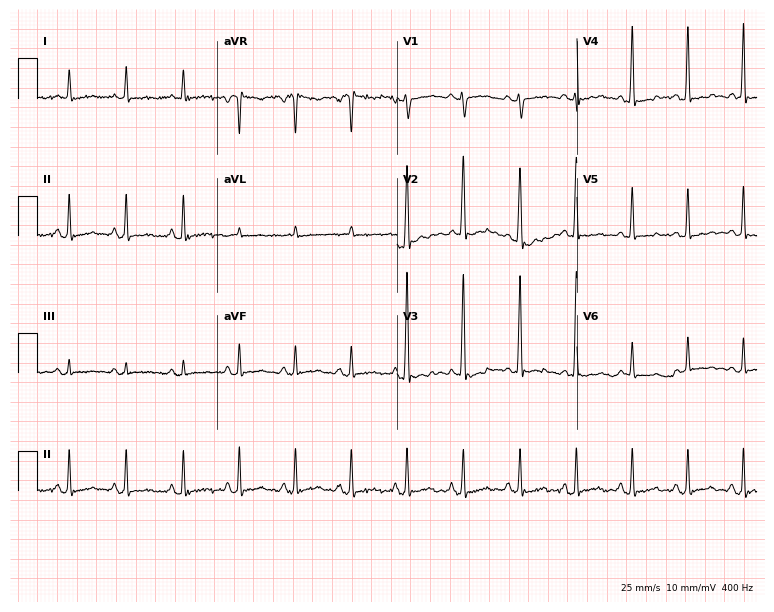
12-lead ECG from a 41-year-old man. Shows sinus tachycardia (a sinus rate of 100 beats per minute or more).